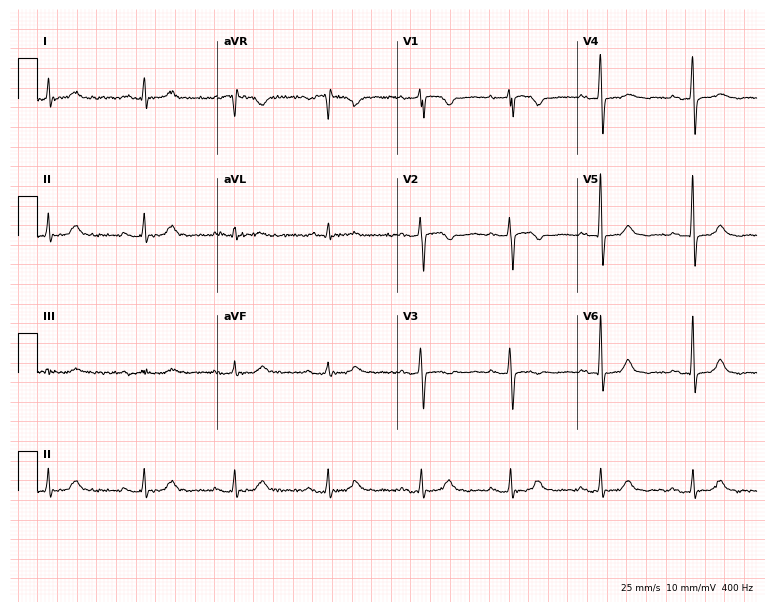
Resting 12-lead electrocardiogram (7.3-second recording at 400 Hz). Patient: a 54-year-old woman. Read as a normal ECG.